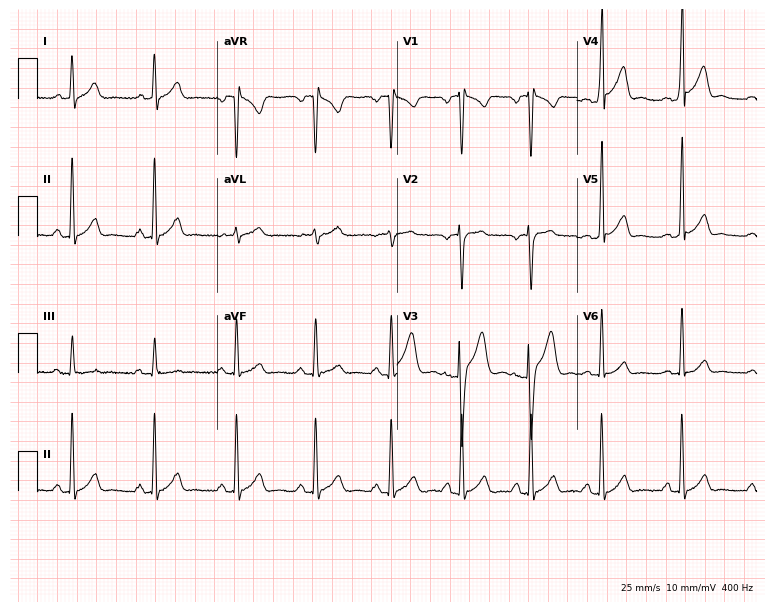
12-lead ECG from a male patient, 22 years old (7.3-second recording at 400 Hz). Recorded interpretation: within normal limits.